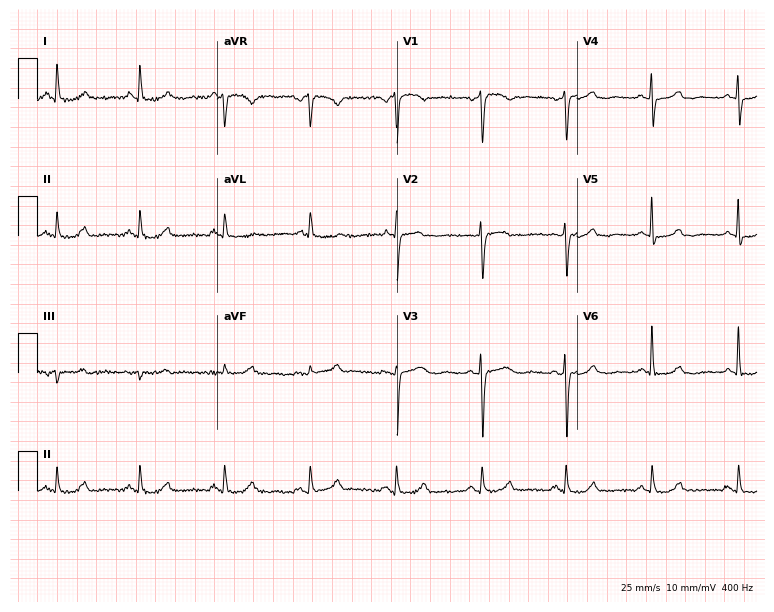
ECG — a female, 67 years old. Labelled as a normal ECG.